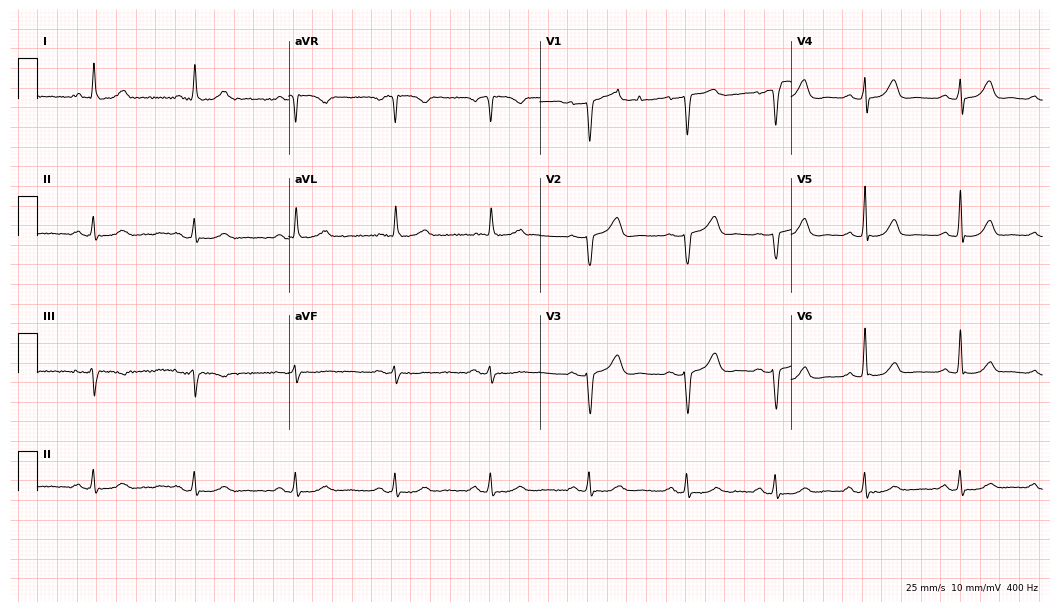
ECG (10.2-second recording at 400 Hz) — a woman, 68 years old. Screened for six findings — first-degree AV block, right bundle branch block (RBBB), left bundle branch block (LBBB), sinus bradycardia, atrial fibrillation (AF), sinus tachycardia — none is recorded. Other findings, if any, are not listed.